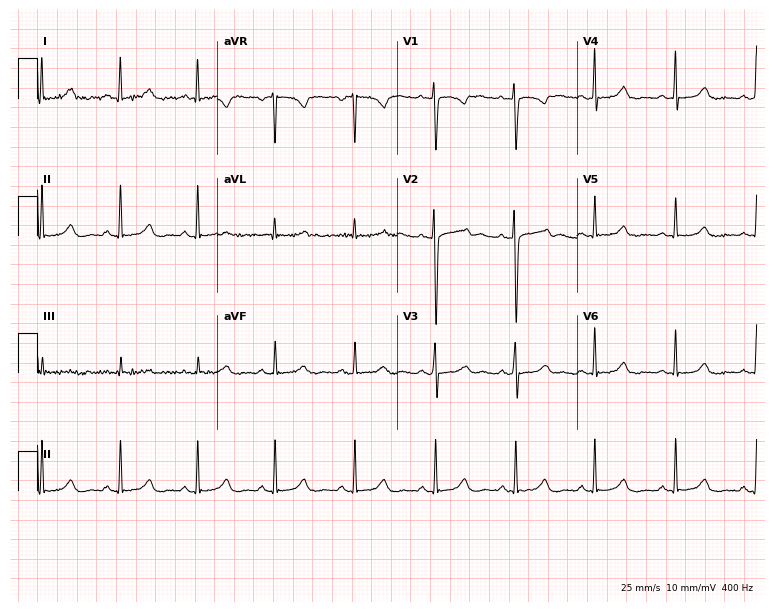
ECG (7.3-second recording at 400 Hz) — a 29-year-old woman. Labelled as a normal ECG.